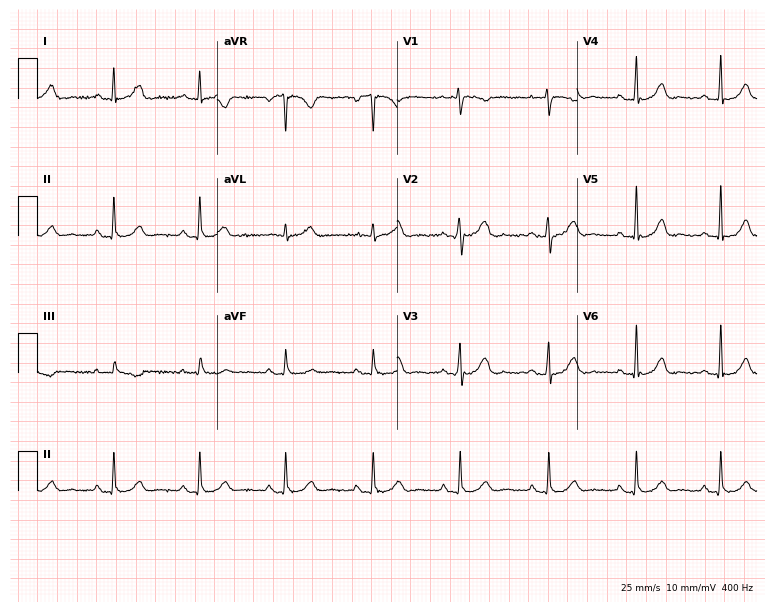
Electrocardiogram (7.3-second recording at 400 Hz), a female, 35 years old. Overall reading on record: normal ECG.